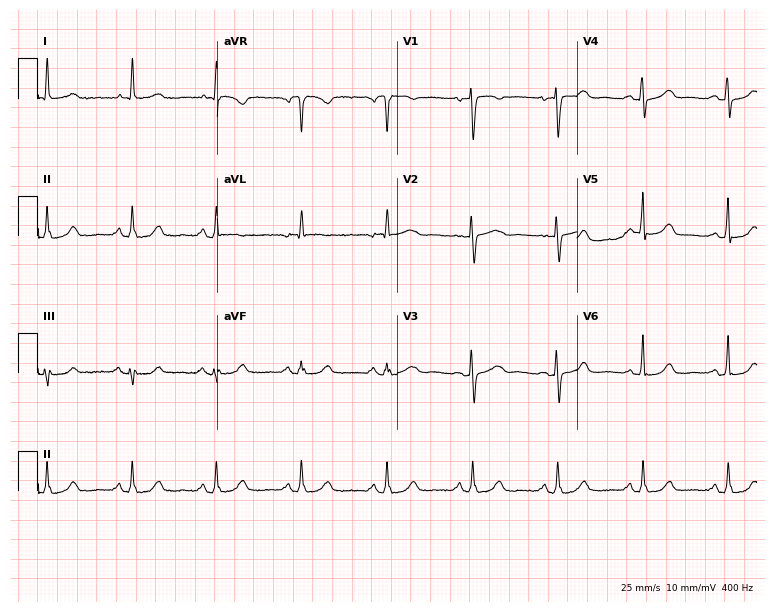
ECG — a 71-year-old female. Labelled as a normal ECG.